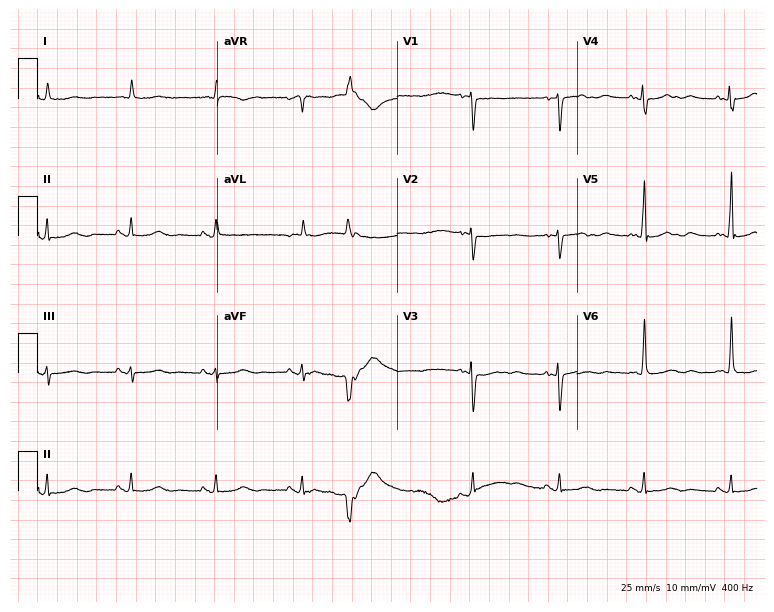
Resting 12-lead electrocardiogram. Patient: a woman, 82 years old. None of these six findings is recorded: first-degree AV block, right bundle branch block, left bundle branch block, sinus bradycardia, atrial fibrillation, sinus tachycardia.